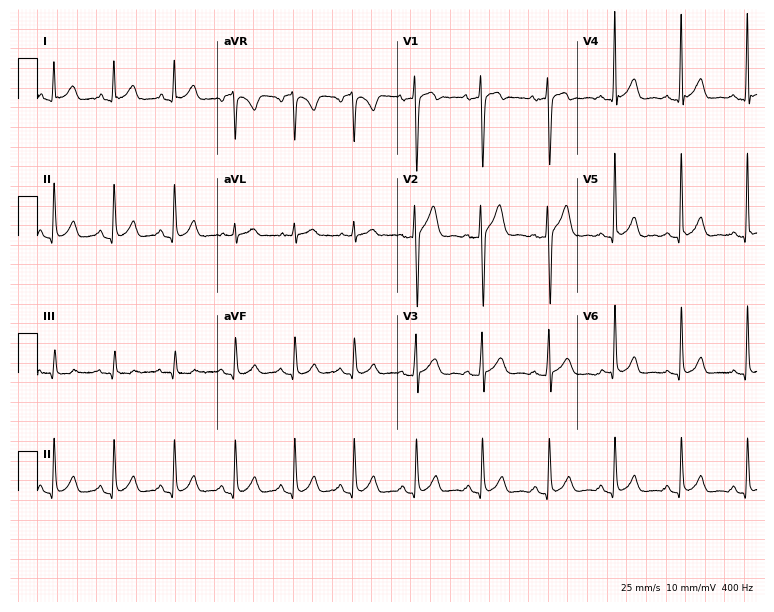
ECG — a male patient, 35 years old. Labelled as a normal ECG.